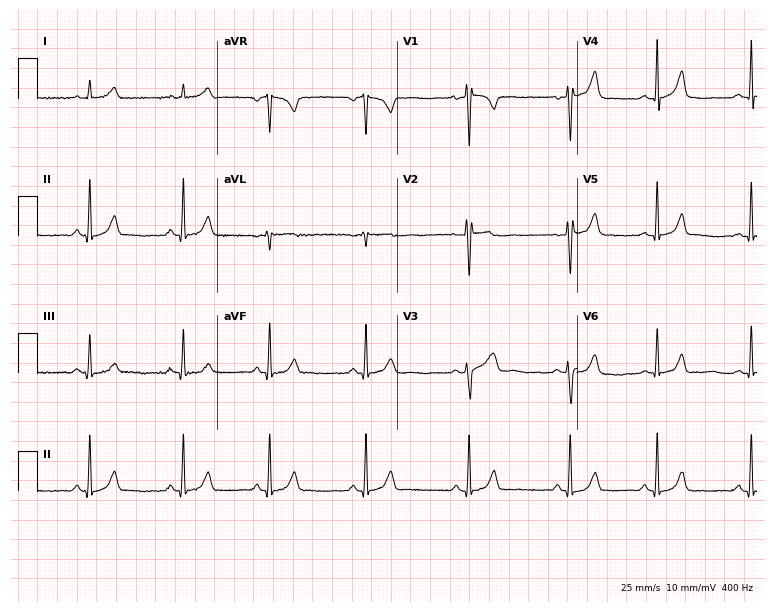
12-lead ECG from a woman, 25 years old. Labelled as a normal ECG.